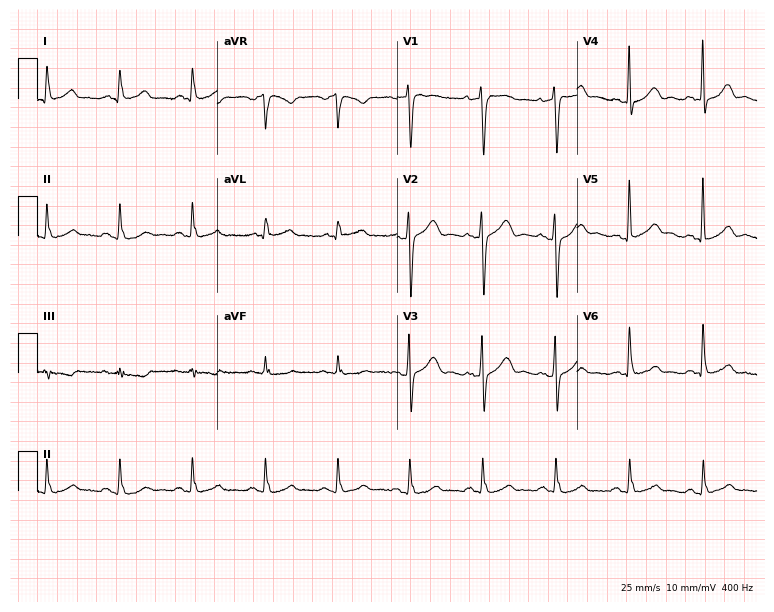
ECG (7.3-second recording at 400 Hz) — a male patient, 51 years old. Labelled as a normal ECG.